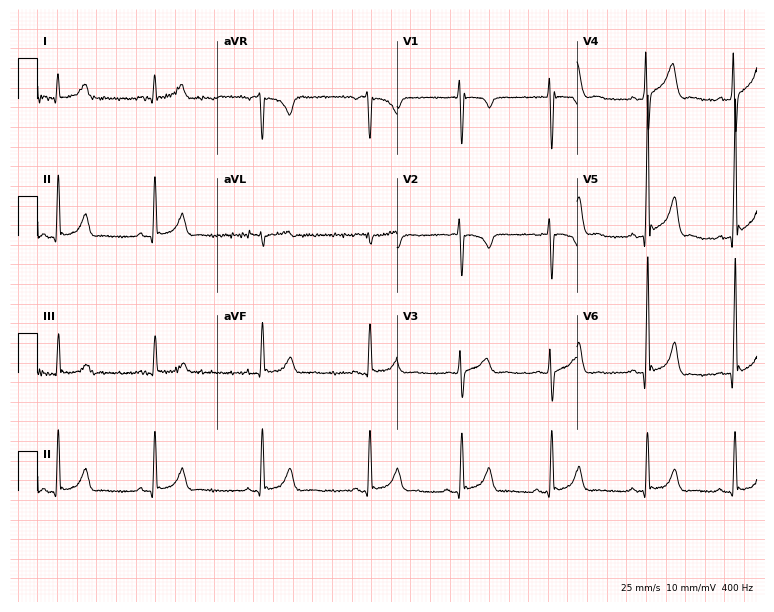
Electrocardiogram, a 26-year-old male patient. Of the six screened findings (first-degree AV block, right bundle branch block, left bundle branch block, sinus bradycardia, atrial fibrillation, sinus tachycardia), none is recorded. Findings outside these six are not listed.